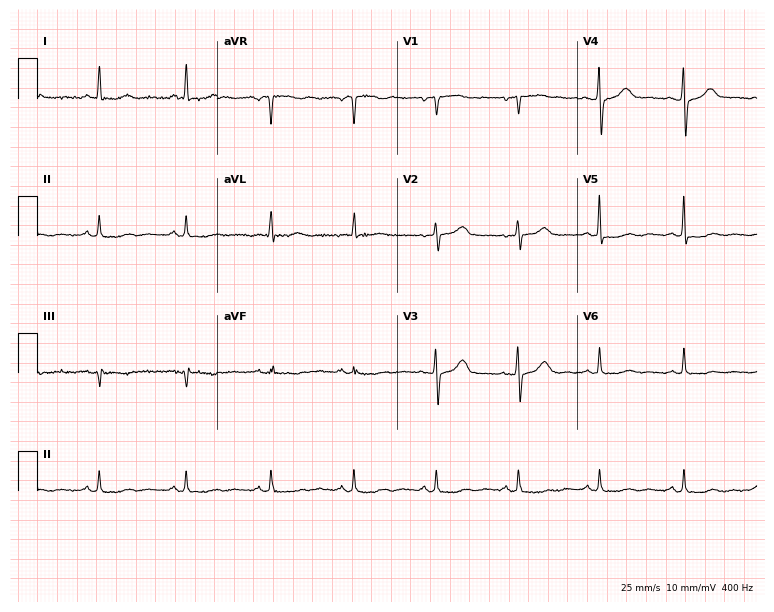
12-lead ECG from a female patient, 73 years old. No first-degree AV block, right bundle branch block (RBBB), left bundle branch block (LBBB), sinus bradycardia, atrial fibrillation (AF) or sinus tachycardia recorded for this tracing. Only these six findings were labelled.